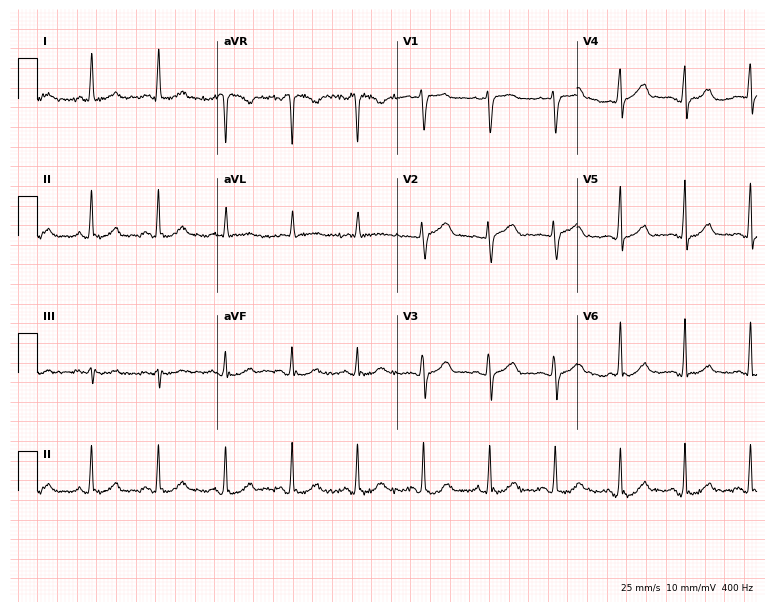
ECG (7.3-second recording at 400 Hz) — a 55-year-old female. Labelled as a normal ECG.